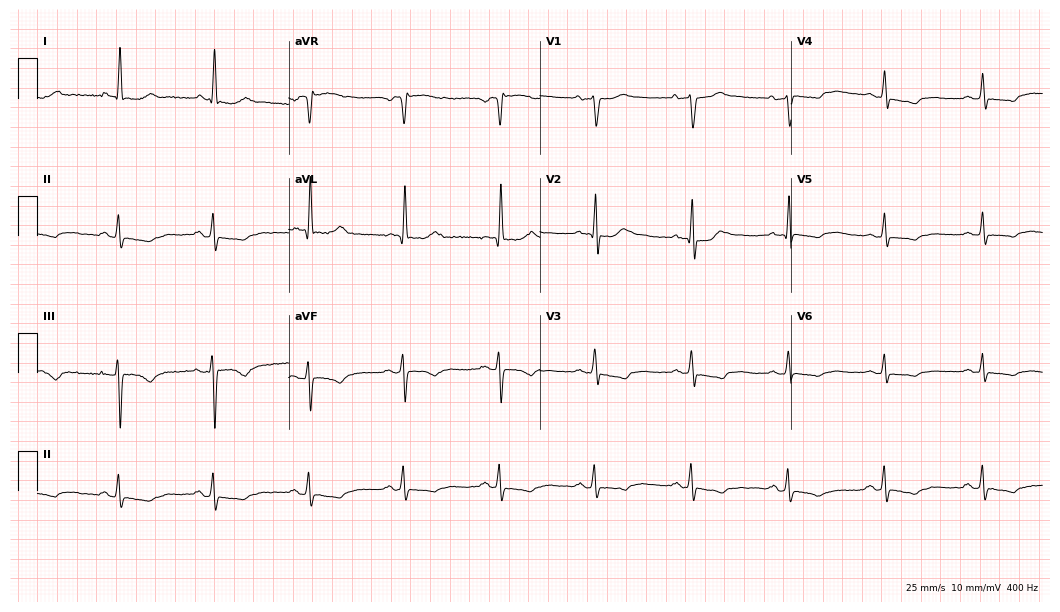
Standard 12-lead ECG recorded from a female, 66 years old (10.2-second recording at 400 Hz). None of these six findings is recorded: first-degree AV block, right bundle branch block, left bundle branch block, sinus bradycardia, atrial fibrillation, sinus tachycardia.